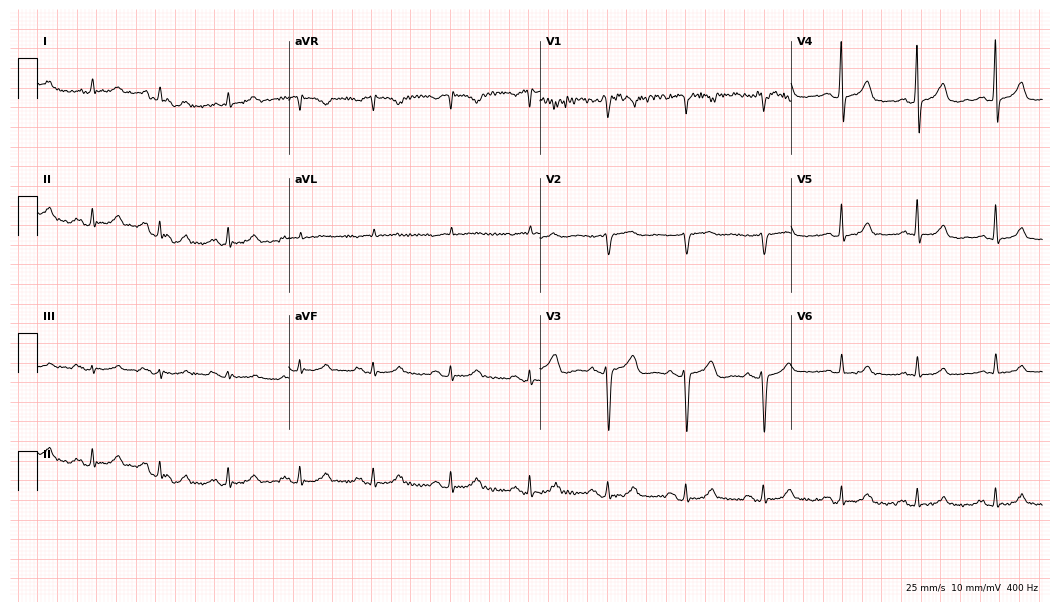
ECG — a male patient, 62 years old. Labelled as a normal ECG.